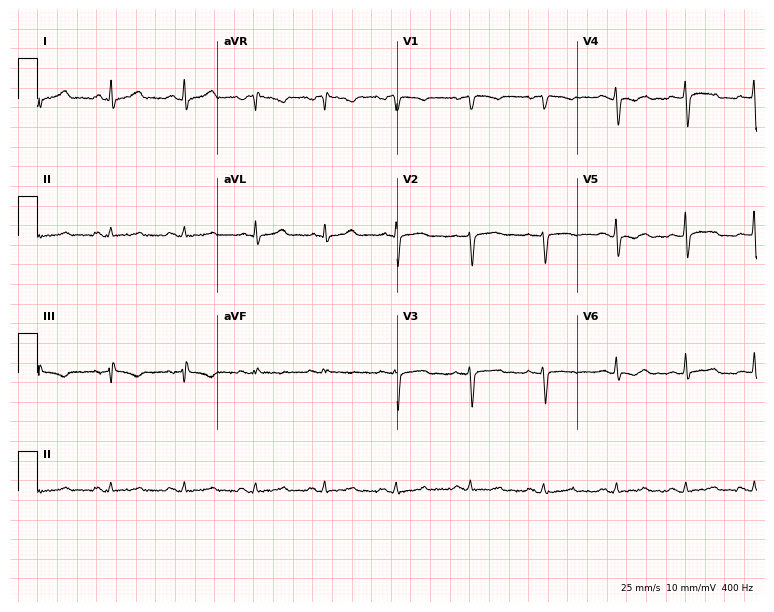
ECG — a 39-year-old female patient. Screened for six findings — first-degree AV block, right bundle branch block (RBBB), left bundle branch block (LBBB), sinus bradycardia, atrial fibrillation (AF), sinus tachycardia — none is recorded.